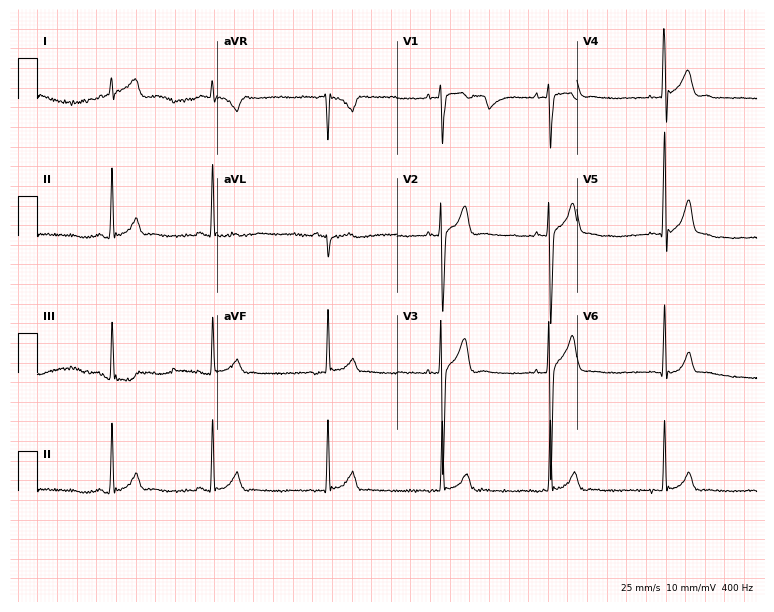
12-lead ECG from a 19-year-old male patient (7.3-second recording at 400 Hz). Recorded interpretation: within normal limits.